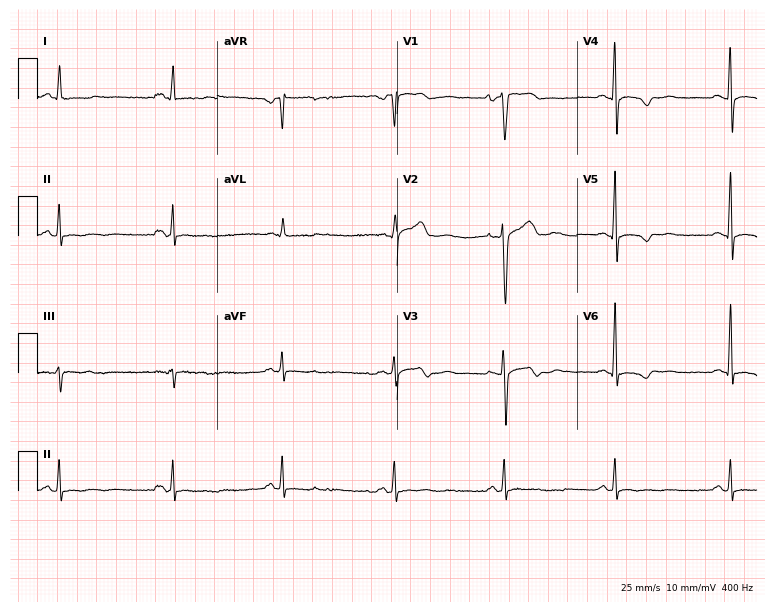
Resting 12-lead electrocardiogram (7.3-second recording at 400 Hz). Patient: a female, 53 years old. None of these six findings is recorded: first-degree AV block, right bundle branch block, left bundle branch block, sinus bradycardia, atrial fibrillation, sinus tachycardia.